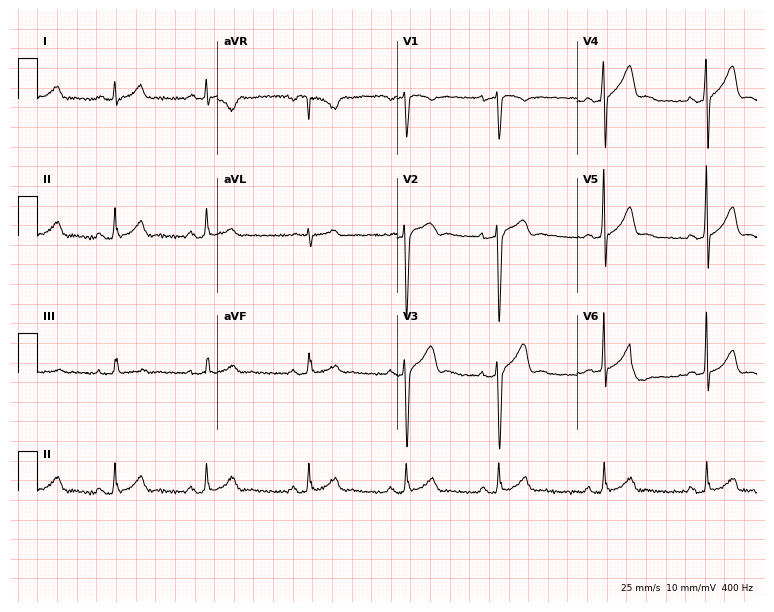
Electrocardiogram, a male patient, 21 years old. Of the six screened findings (first-degree AV block, right bundle branch block (RBBB), left bundle branch block (LBBB), sinus bradycardia, atrial fibrillation (AF), sinus tachycardia), none is recorded.